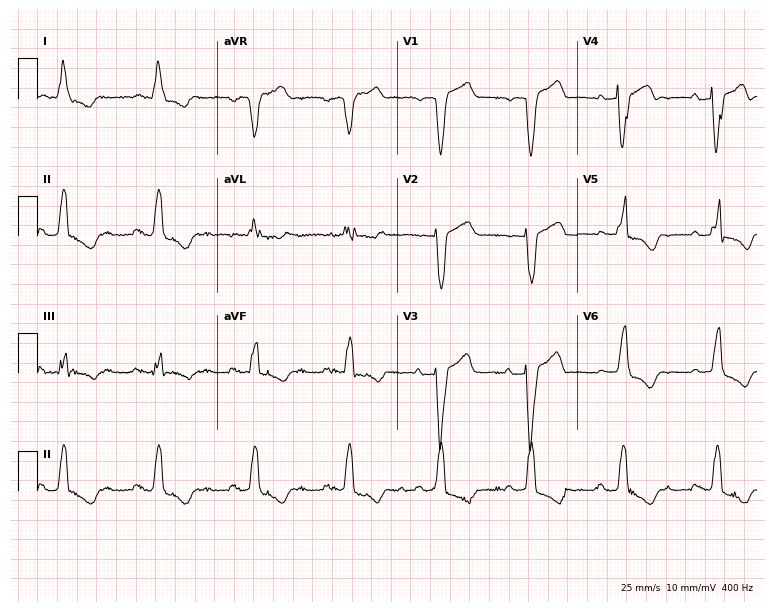
12-lead ECG from a woman, 69 years old. Shows left bundle branch block (LBBB).